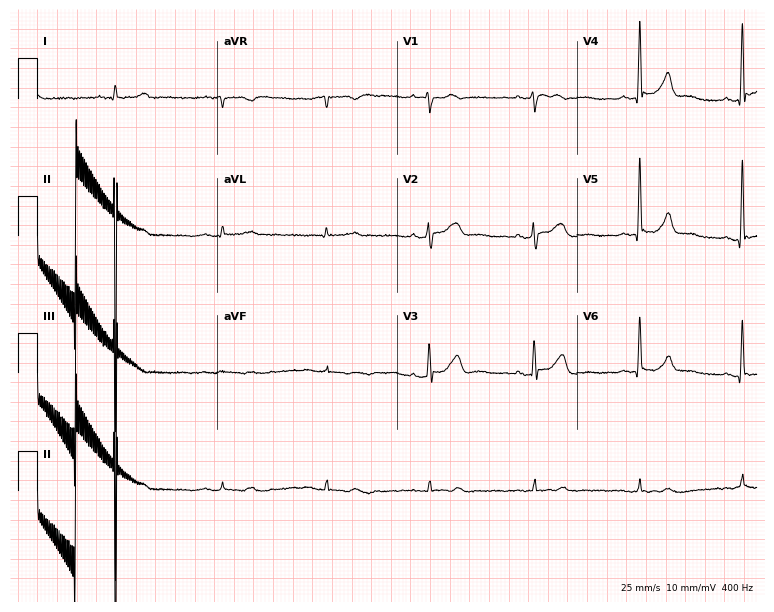
Standard 12-lead ECG recorded from a 75-year-old male (7.3-second recording at 400 Hz). None of these six findings is recorded: first-degree AV block, right bundle branch block (RBBB), left bundle branch block (LBBB), sinus bradycardia, atrial fibrillation (AF), sinus tachycardia.